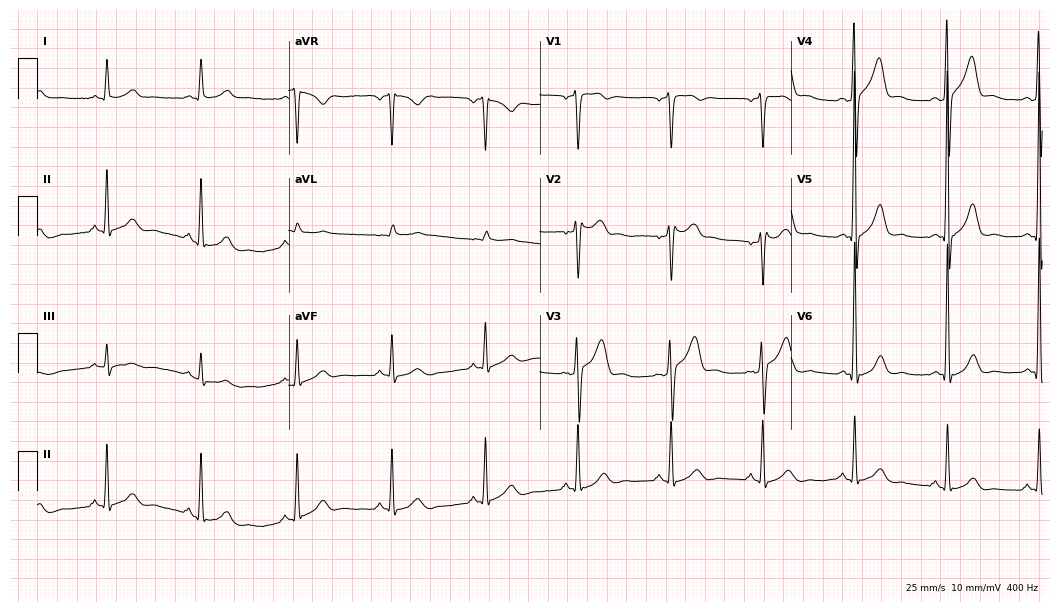
Standard 12-lead ECG recorded from a male, 55 years old (10.2-second recording at 400 Hz). None of these six findings is recorded: first-degree AV block, right bundle branch block, left bundle branch block, sinus bradycardia, atrial fibrillation, sinus tachycardia.